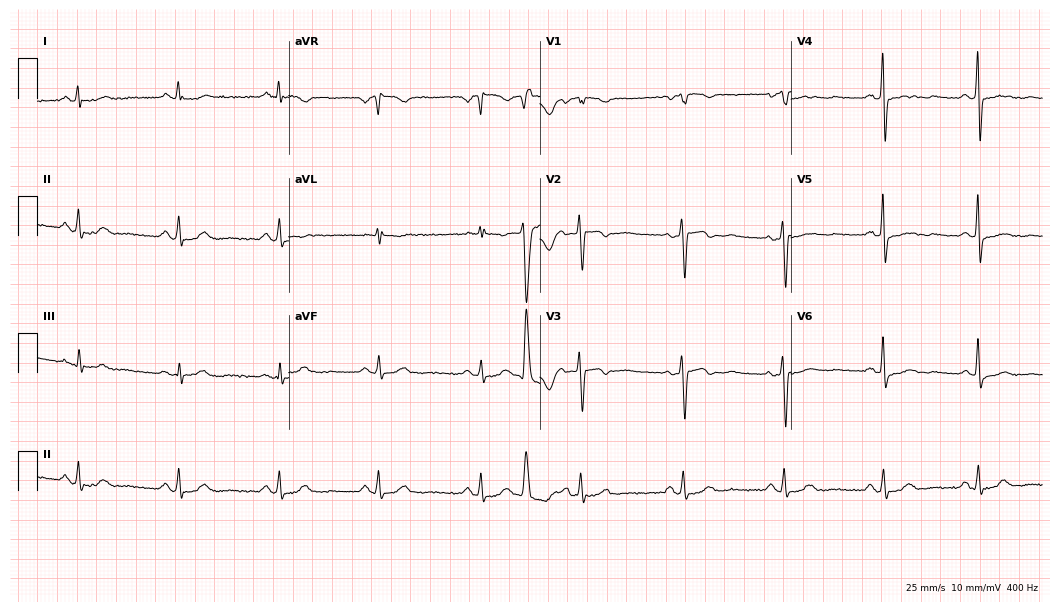
Resting 12-lead electrocardiogram (10.2-second recording at 400 Hz). Patient: a female, 53 years old. None of these six findings is recorded: first-degree AV block, right bundle branch block, left bundle branch block, sinus bradycardia, atrial fibrillation, sinus tachycardia. Findings outside these six are not listed.